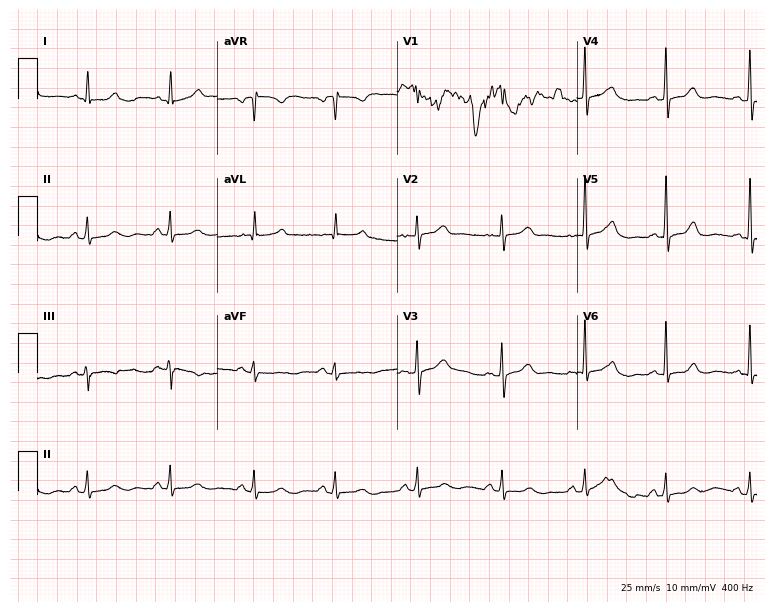
Standard 12-lead ECG recorded from a 60-year-old woman. Read as a normal ECG.